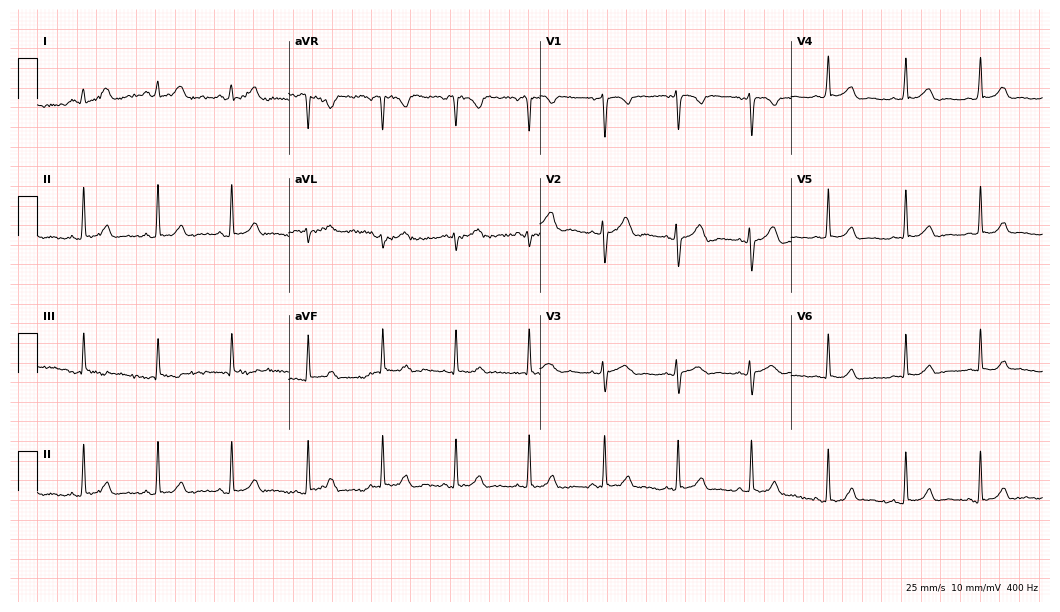
ECG (10.2-second recording at 400 Hz) — an 18-year-old female. Labelled as a normal ECG.